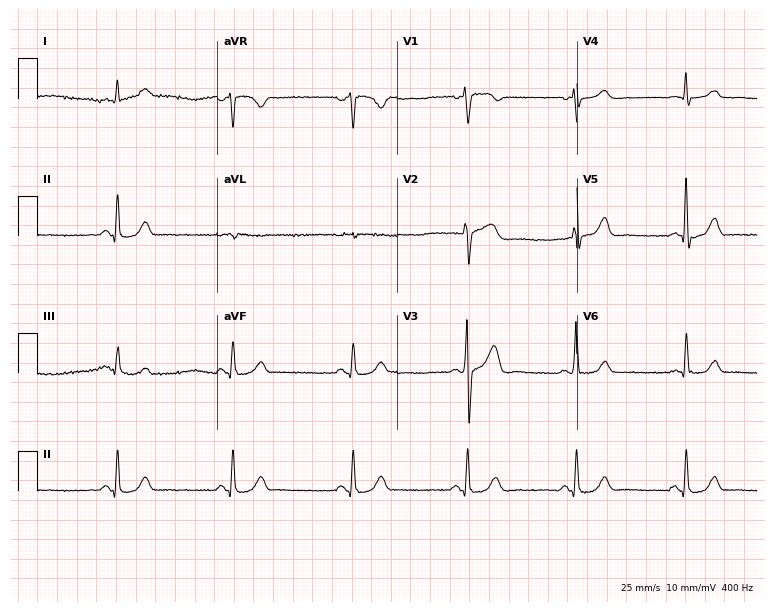
12-lead ECG (7.3-second recording at 400 Hz) from a man, 55 years old. Labelled as a normal ECG.